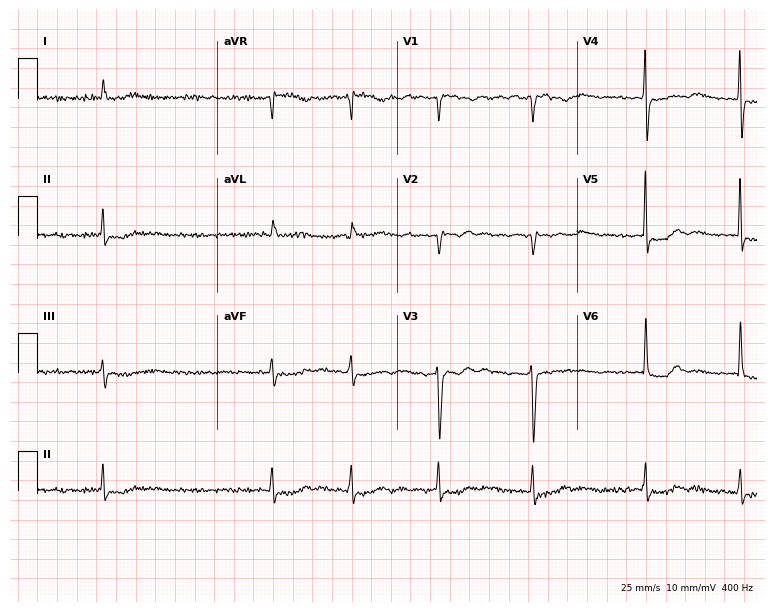
12-lead ECG from an 83-year-old woman. Shows atrial fibrillation.